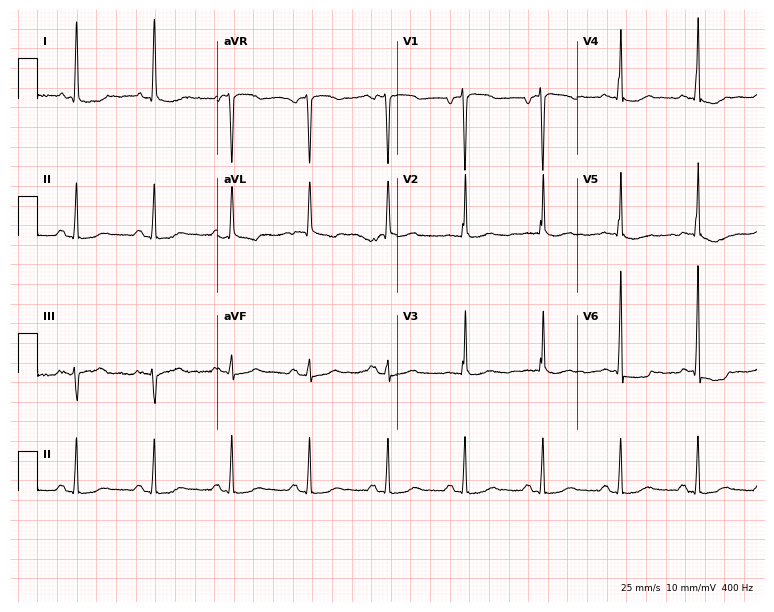
12-lead ECG from a female patient, 81 years old. No first-degree AV block, right bundle branch block, left bundle branch block, sinus bradycardia, atrial fibrillation or sinus tachycardia recorded for this tracing. Only these six findings were labelled.